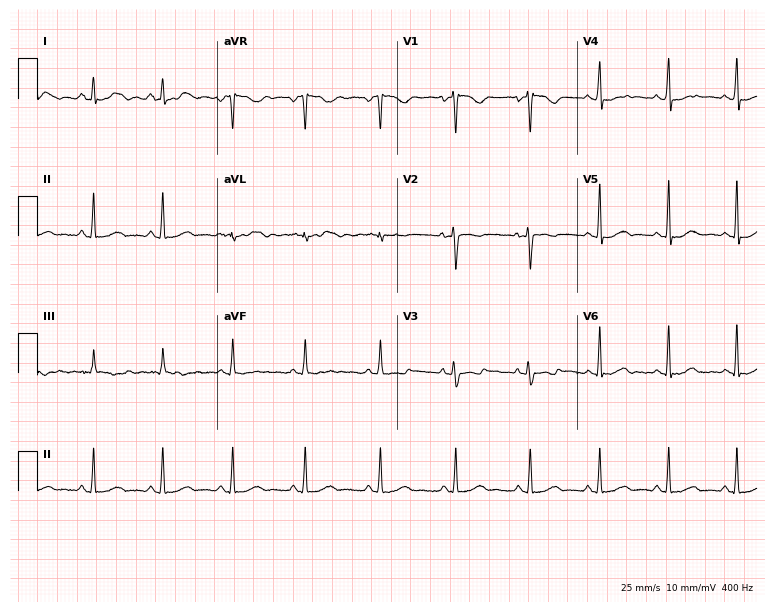
Electrocardiogram (7.3-second recording at 400 Hz), a female patient, 30 years old. Of the six screened findings (first-degree AV block, right bundle branch block (RBBB), left bundle branch block (LBBB), sinus bradycardia, atrial fibrillation (AF), sinus tachycardia), none is recorded. Other findings, if any, are not listed.